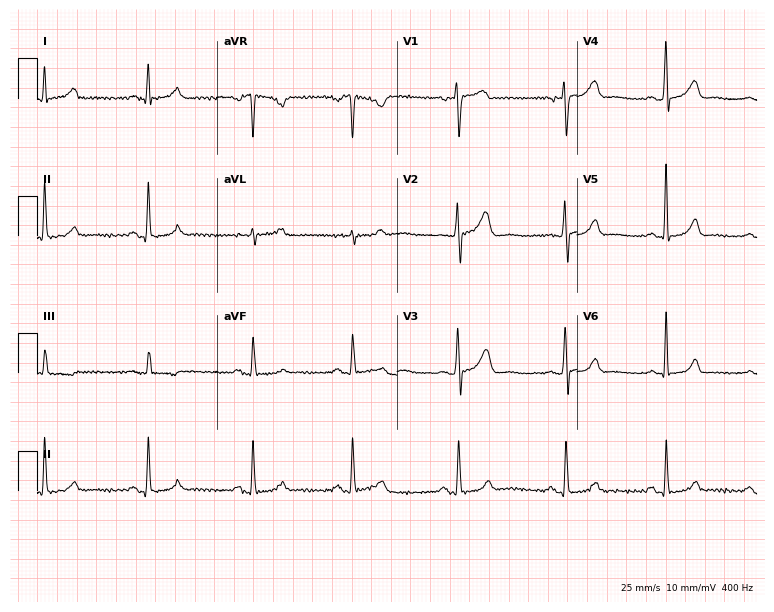
12-lead ECG (7.3-second recording at 400 Hz) from a 31-year-old woman. Screened for six findings — first-degree AV block, right bundle branch block, left bundle branch block, sinus bradycardia, atrial fibrillation, sinus tachycardia — none is recorded.